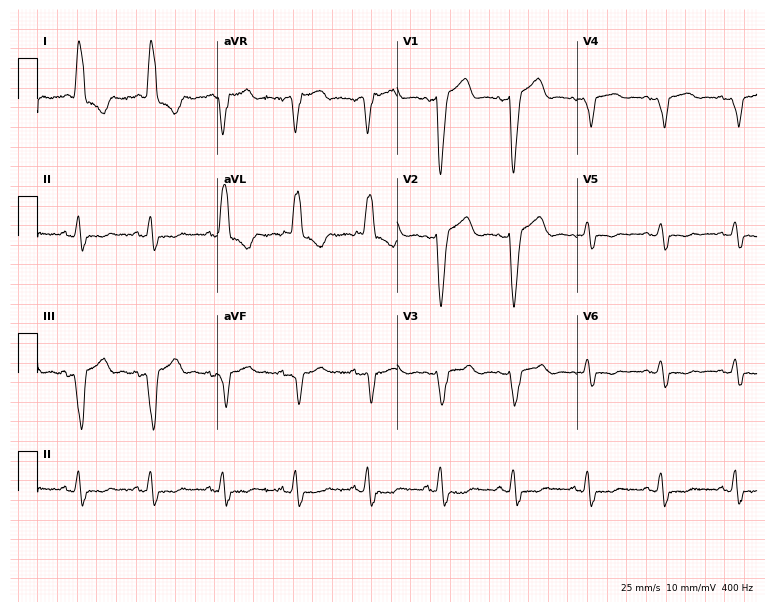
ECG — a woman, 76 years old. Findings include left bundle branch block.